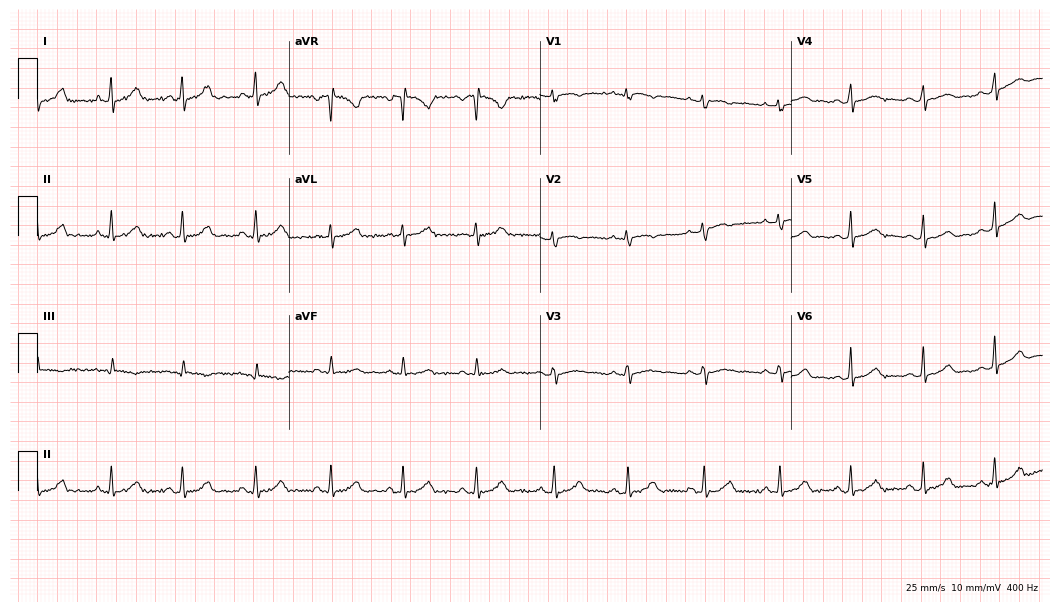
Electrocardiogram (10.2-second recording at 400 Hz), a female patient, 20 years old. Overall reading on record: normal ECG.